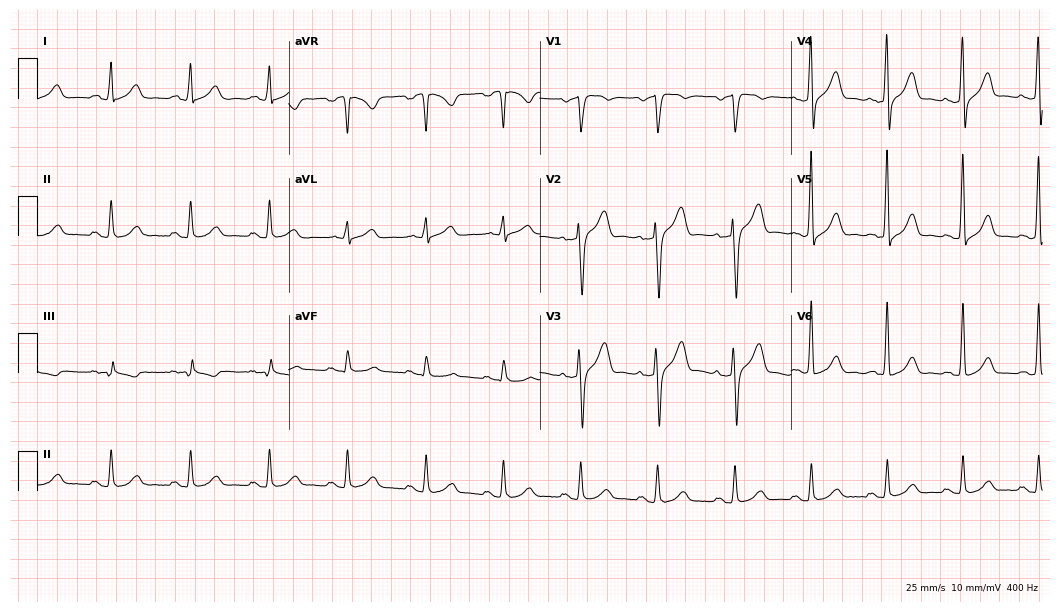
Resting 12-lead electrocardiogram. Patient: a 58-year-old male. None of these six findings is recorded: first-degree AV block, right bundle branch block (RBBB), left bundle branch block (LBBB), sinus bradycardia, atrial fibrillation (AF), sinus tachycardia. Other findings, if any, are not listed.